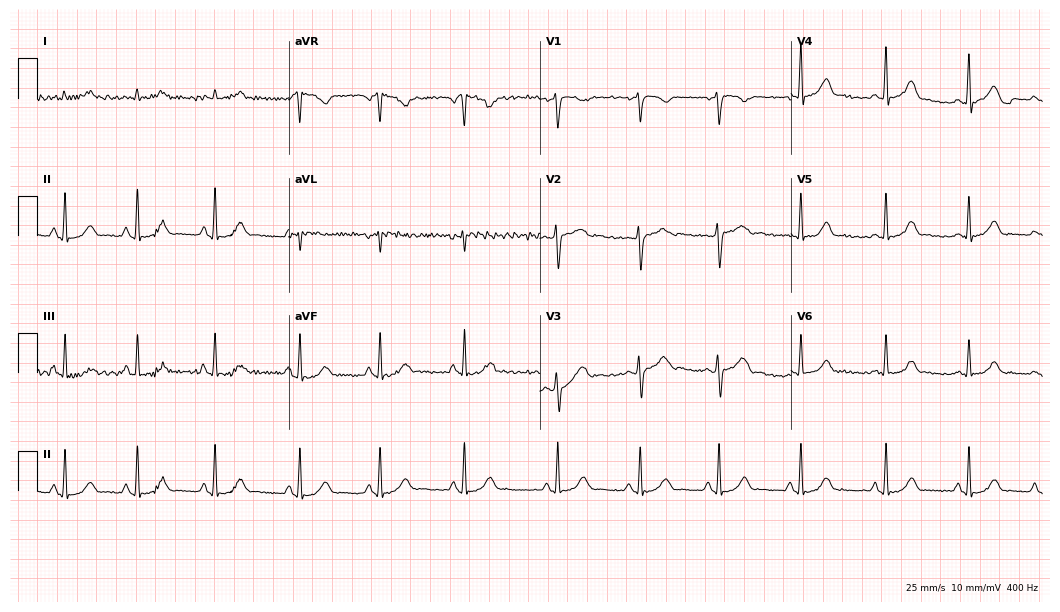
12-lead ECG from a 30-year-old woman (10.2-second recording at 400 Hz). Recorded interpretation: within normal limits.